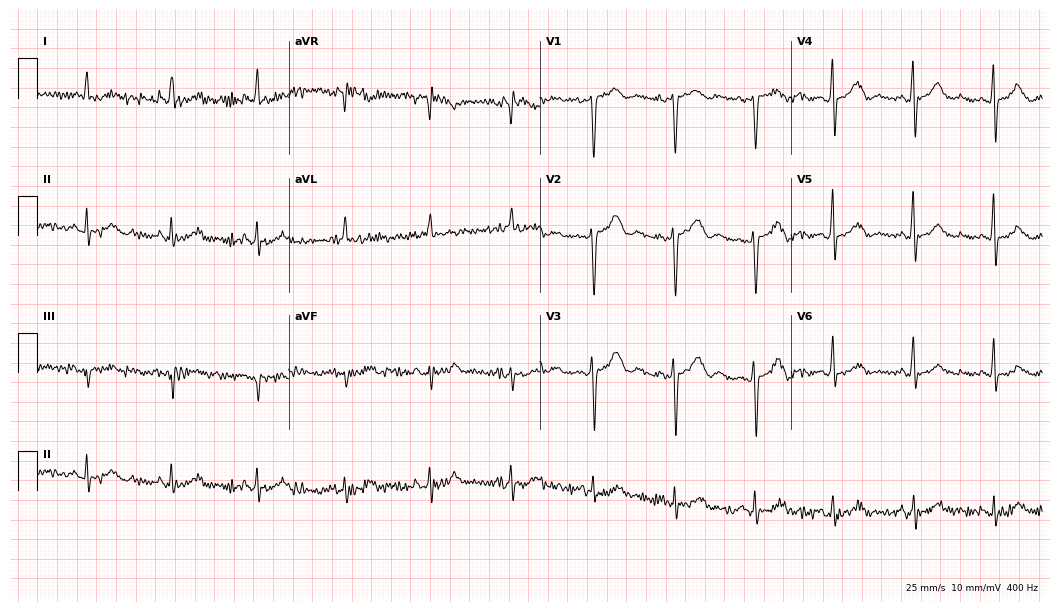
Standard 12-lead ECG recorded from a 77-year-old female patient. Read as a normal ECG.